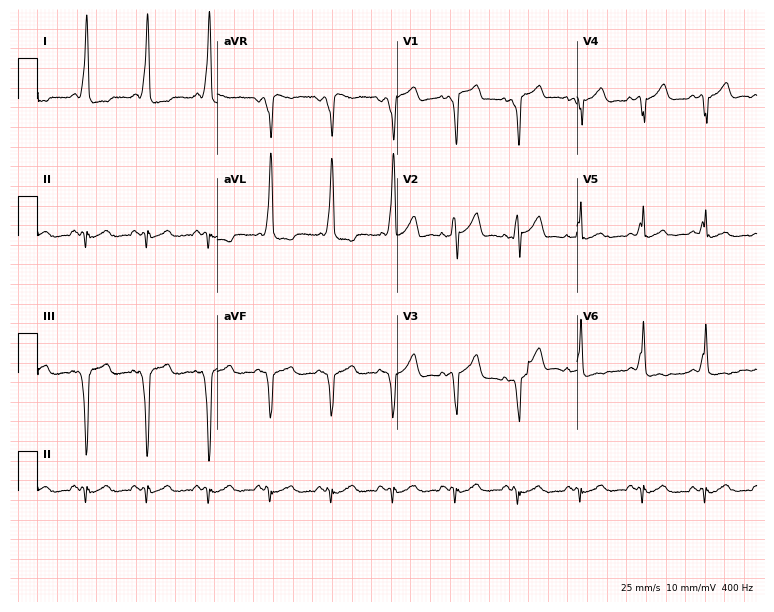
Electrocardiogram (7.3-second recording at 400 Hz), a woman, 51 years old. Of the six screened findings (first-degree AV block, right bundle branch block (RBBB), left bundle branch block (LBBB), sinus bradycardia, atrial fibrillation (AF), sinus tachycardia), none is recorded. Only these six findings were labelled.